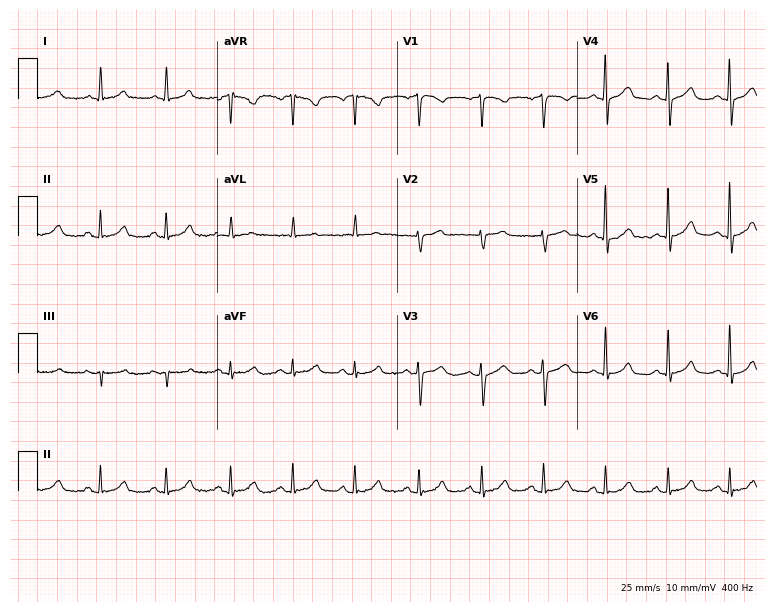
ECG (7.3-second recording at 400 Hz) — a 63-year-old female. Screened for six findings — first-degree AV block, right bundle branch block (RBBB), left bundle branch block (LBBB), sinus bradycardia, atrial fibrillation (AF), sinus tachycardia — none is recorded. Only these six findings were labelled.